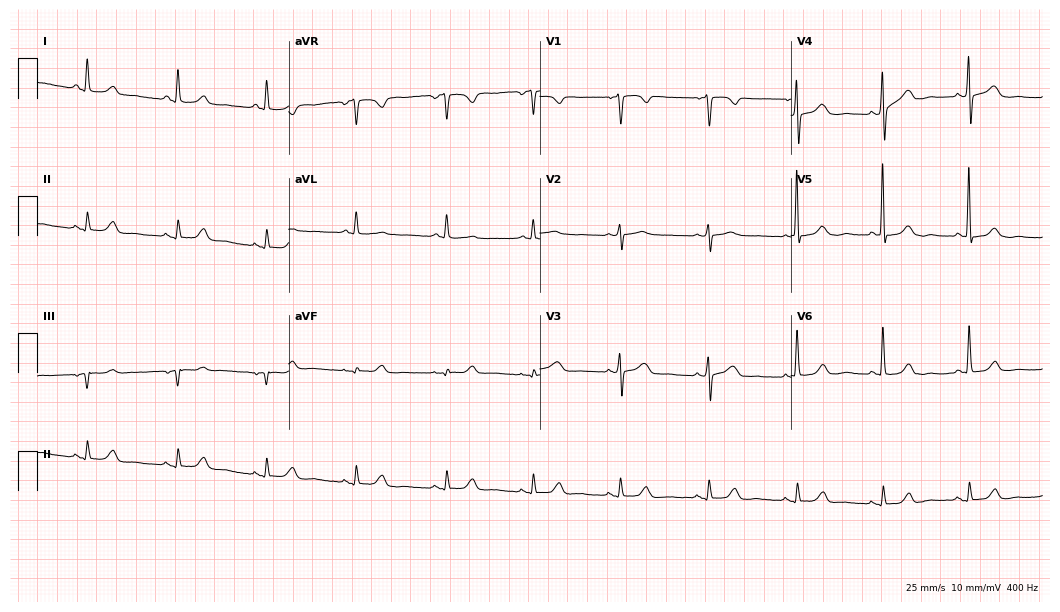
Resting 12-lead electrocardiogram (10.2-second recording at 400 Hz). Patient: a female, 62 years old. None of these six findings is recorded: first-degree AV block, right bundle branch block, left bundle branch block, sinus bradycardia, atrial fibrillation, sinus tachycardia. Findings outside these six are not listed.